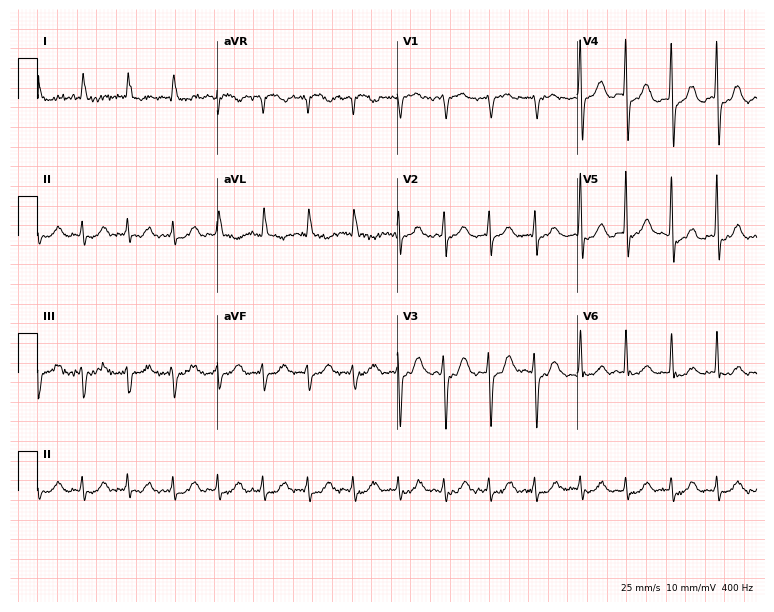
12-lead ECG (7.3-second recording at 400 Hz) from a female, 80 years old. Findings include sinus tachycardia (a sinus rate of 100 beats per minute or more).